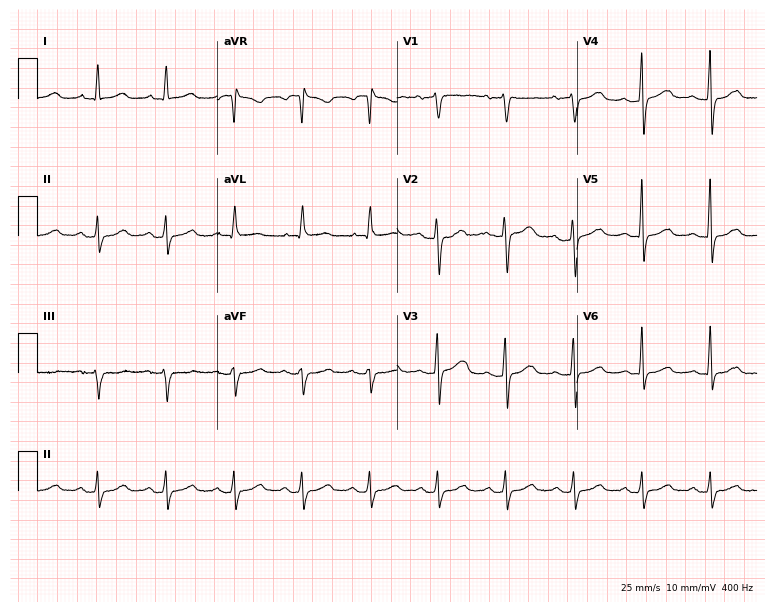
Resting 12-lead electrocardiogram (7.3-second recording at 400 Hz). Patient: a female, 52 years old. None of these six findings is recorded: first-degree AV block, right bundle branch block, left bundle branch block, sinus bradycardia, atrial fibrillation, sinus tachycardia. Findings outside these six are not listed.